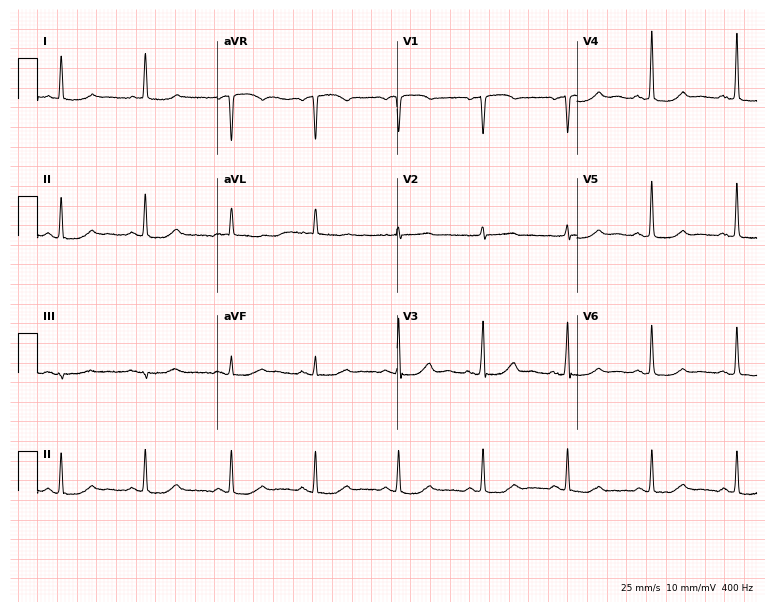
12-lead ECG from a female, 64 years old. Recorded interpretation: within normal limits.